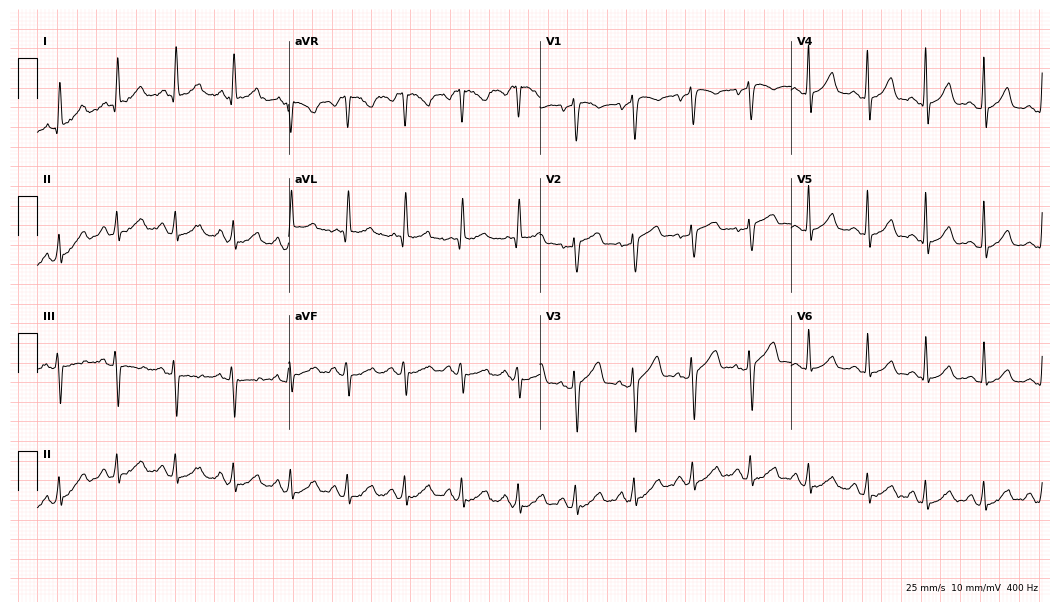
12-lead ECG (10.2-second recording at 400 Hz) from a woman, 39 years old. Findings include sinus tachycardia (a sinus rate of 100 beats per minute or more).